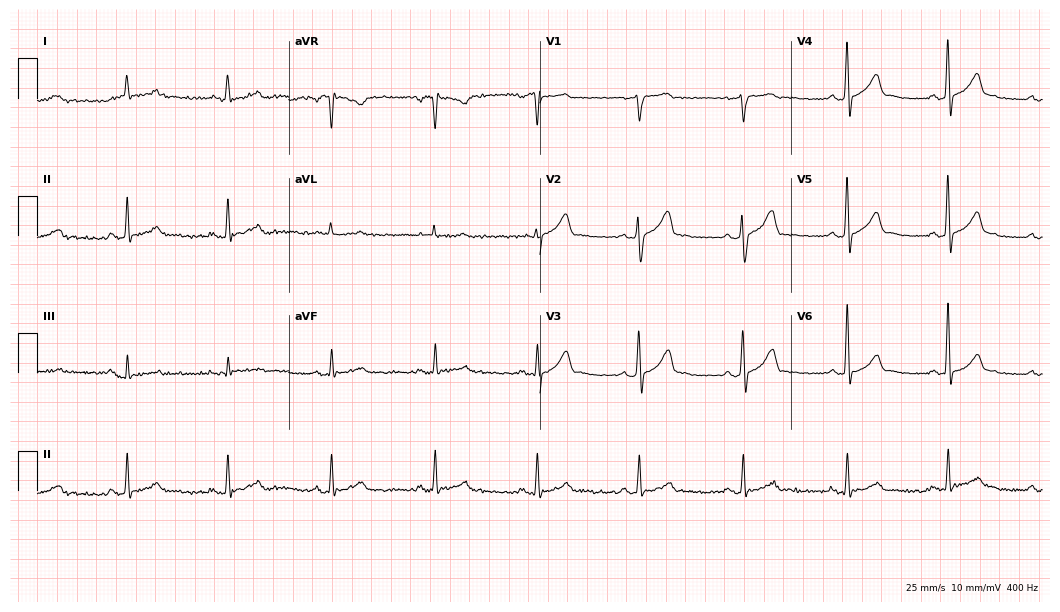
12-lead ECG (10.2-second recording at 400 Hz) from a 47-year-old male. Labelled as a normal ECG.